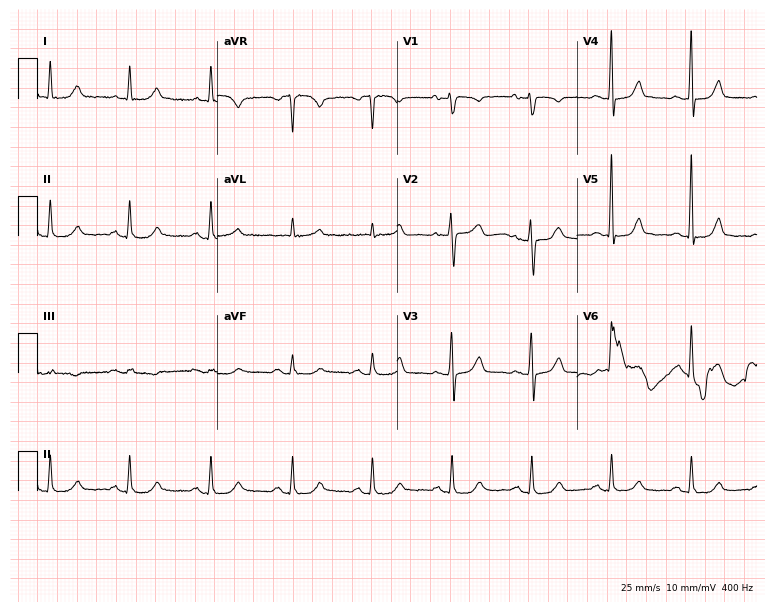
ECG (7.3-second recording at 400 Hz) — a female patient, 80 years old. Labelled as a normal ECG.